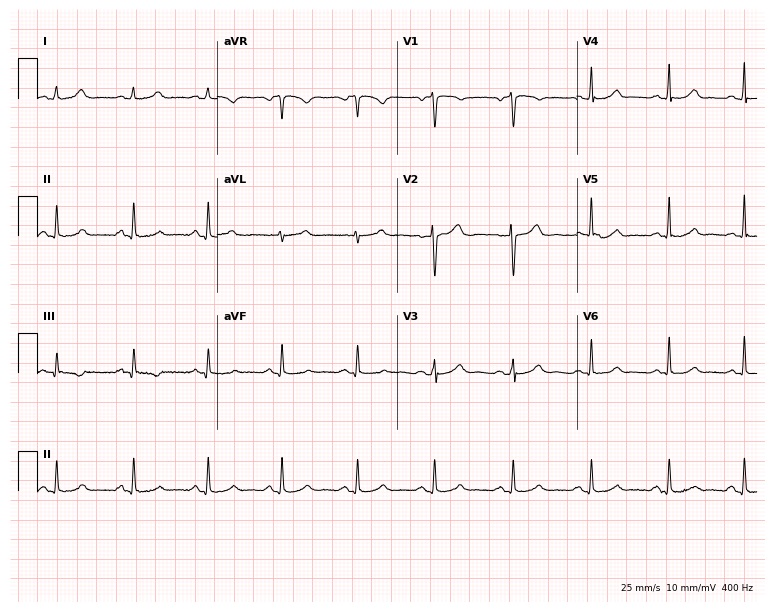
Standard 12-lead ECG recorded from a 45-year-old female patient. Read as a normal ECG.